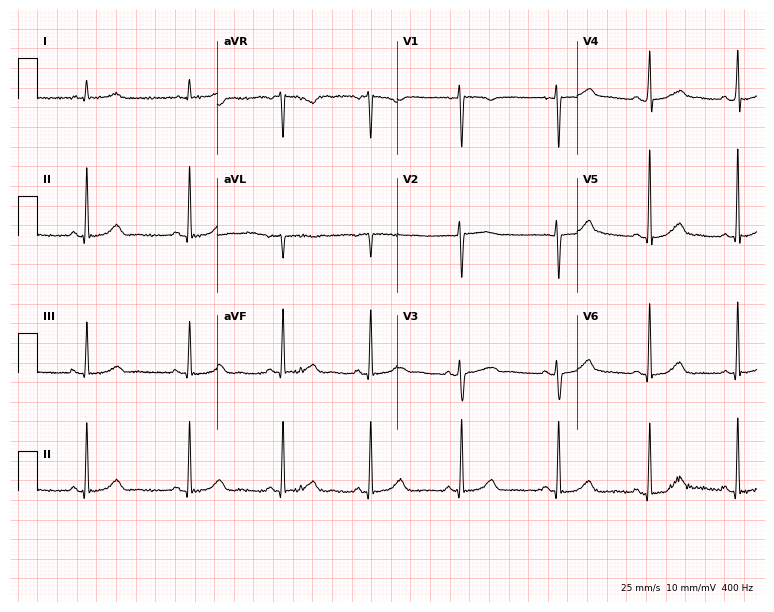
12-lead ECG from a woman, 48 years old (7.3-second recording at 400 Hz). Recorded interpretation: within normal limits.